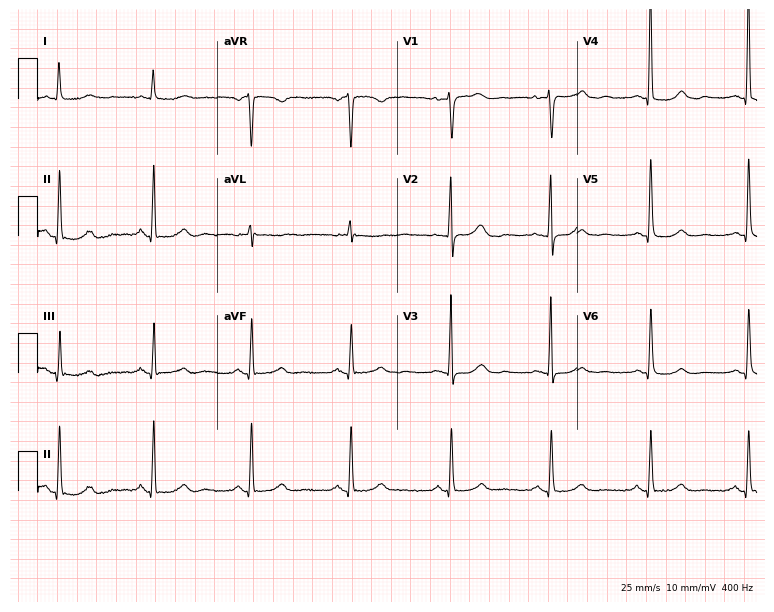
ECG (7.3-second recording at 400 Hz) — a 79-year-old female patient. Labelled as a normal ECG.